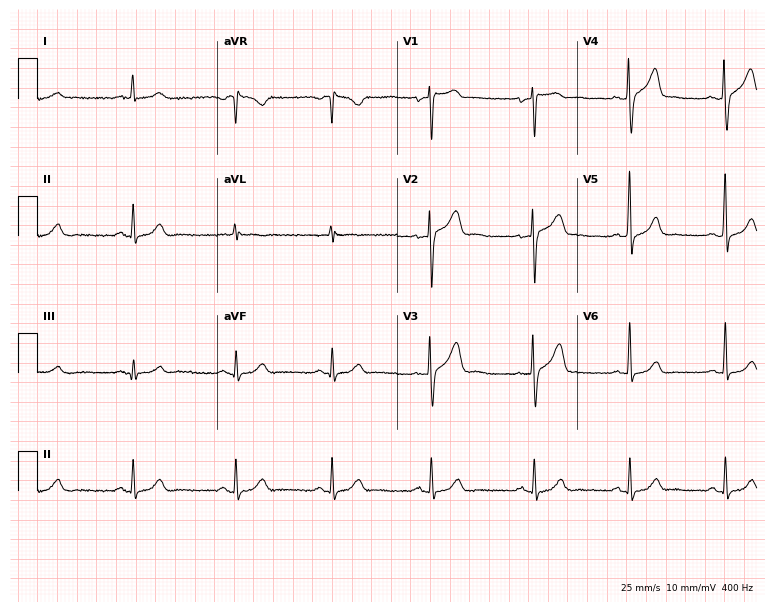
Resting 12-lead electrocardiogram (7.3-second recording at 400 Hz). Patient: a man, 42 years old. Read as a normal ECG.